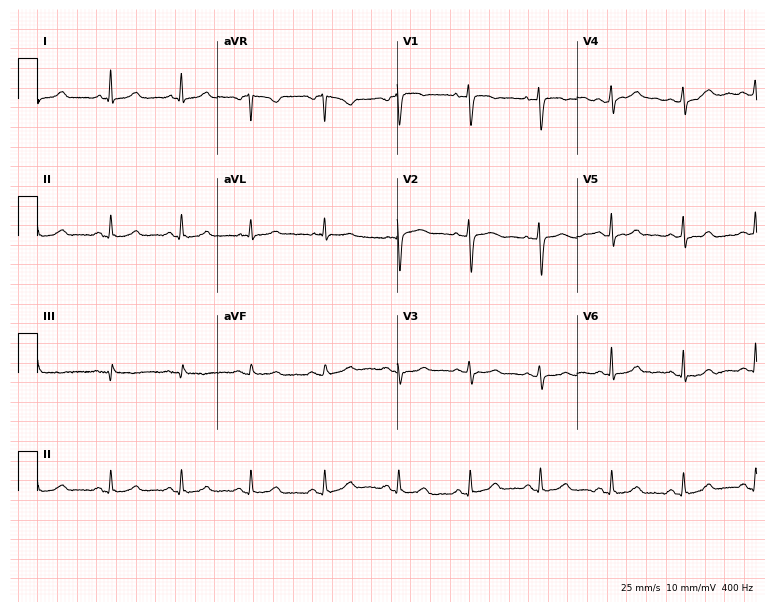
12-lead ECG from a 44-year-old female patient. Recorded interpretation: within normal limits.